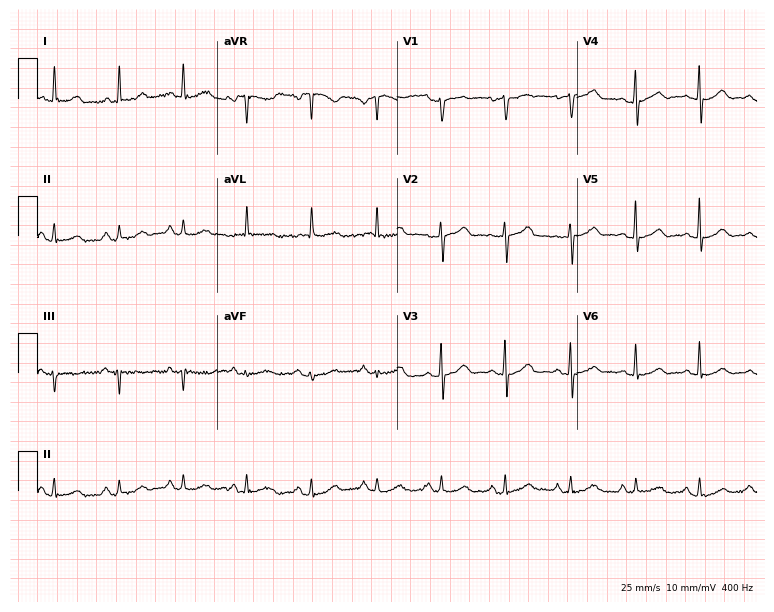
ECG — a 64-year-old woman. Labelled as a normal ECG.